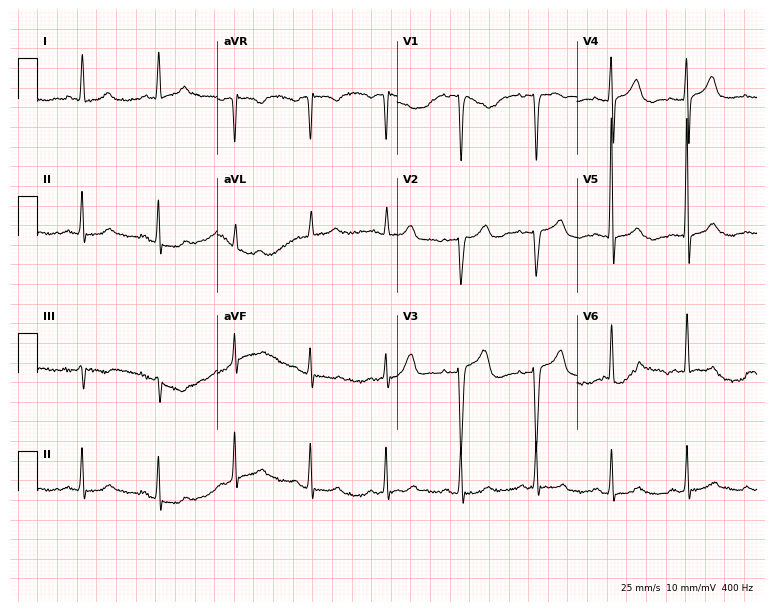
Resting 12-lead electrocardiogram (7.3-second recording at 400 Hz). Patient: a 52-year-old female. Read as a normal ECG.